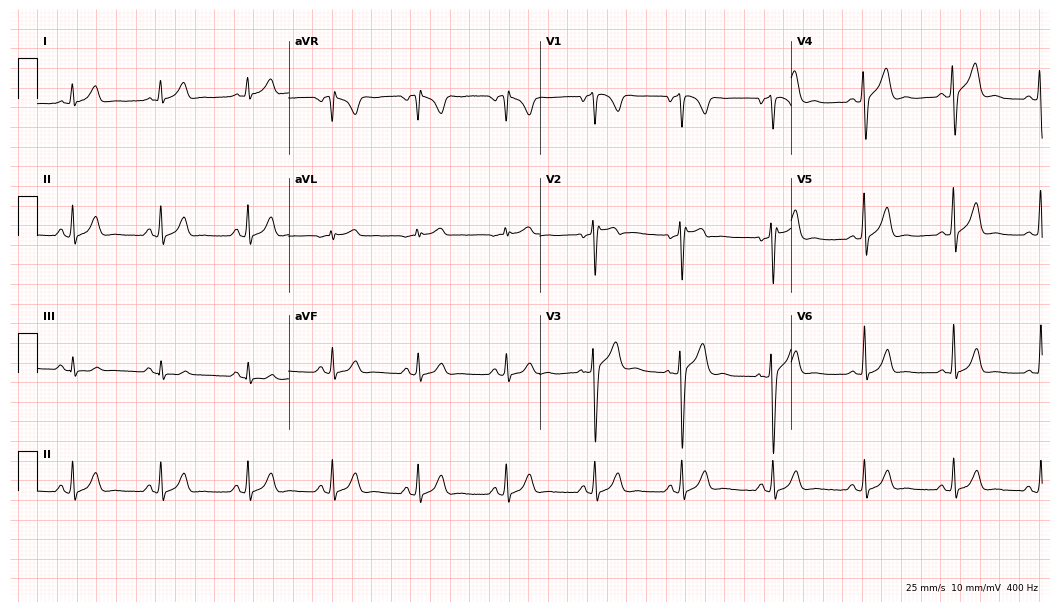
12-lead ECG from a male patient, 32 years old. Screened for six findings — first-degree AV block, right bundle branch block, left bundle branch block, sinus bradycardia, atrial fibrillation, sinus tachycardia — none is recorded. Findings outside these six are not listed.